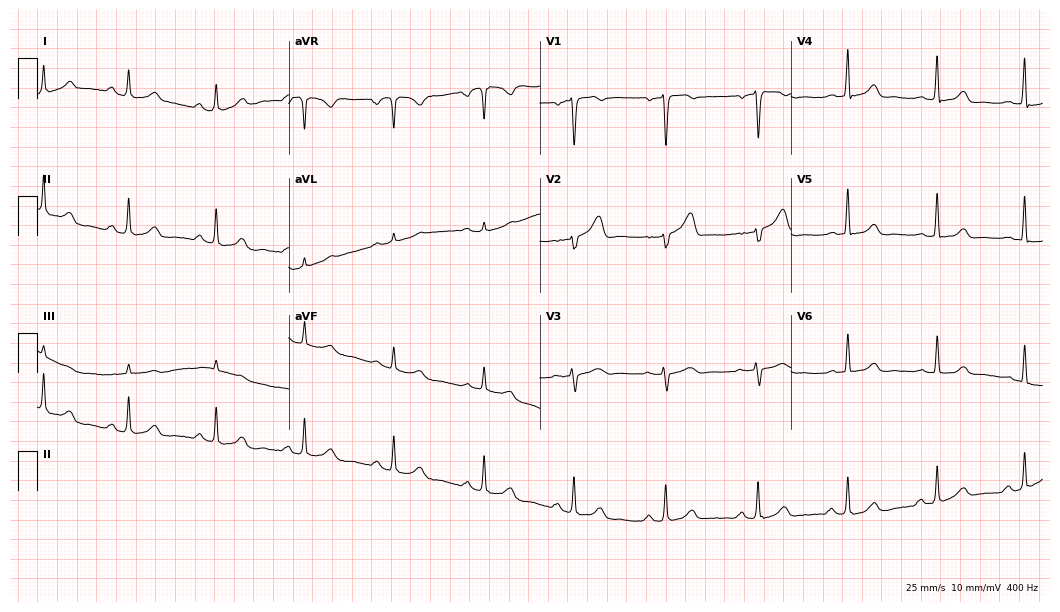
Resting 12-lead electrocardiogram. Patient: a 38-year-old male. Read as a normal ECG.